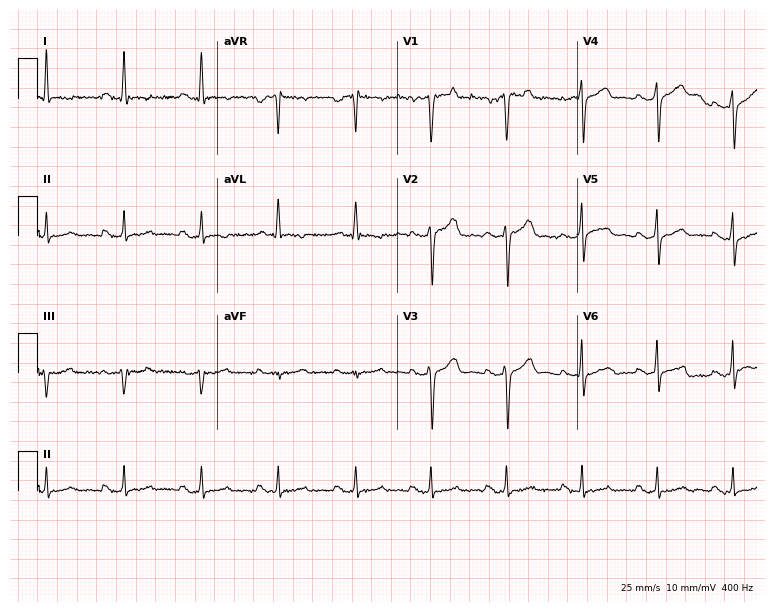
Standard 12-lead ECG recorded from a 44-year-old male patient (7.3-second recording at 400 Hz). Read as a normal ECG.